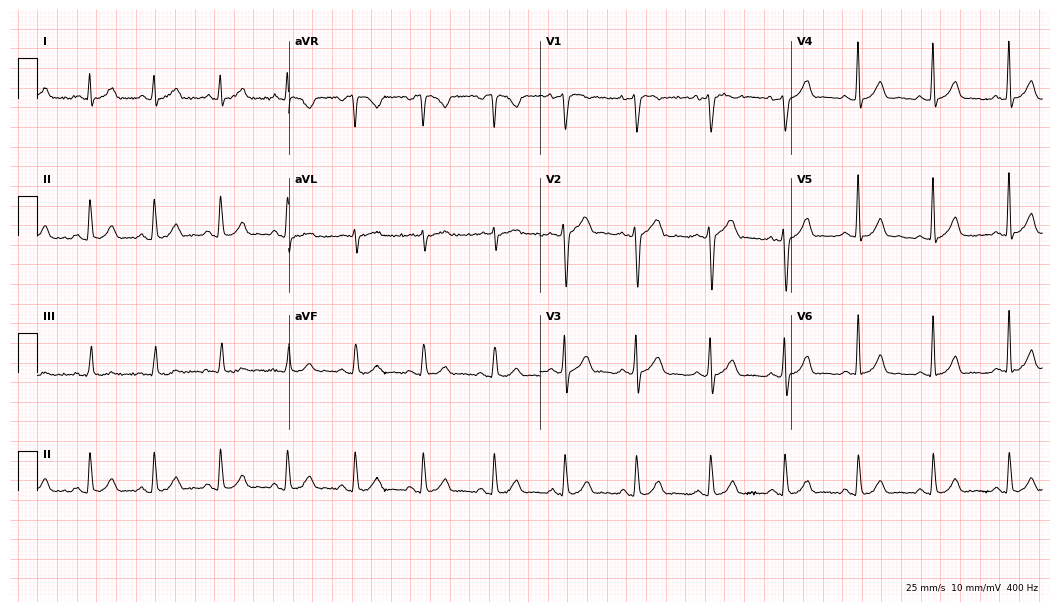
Resting 12-lead electrocardiogram (10.2-second recording at 400 Hz). Patient: a male, 38 years old. Read as a normal ECG.